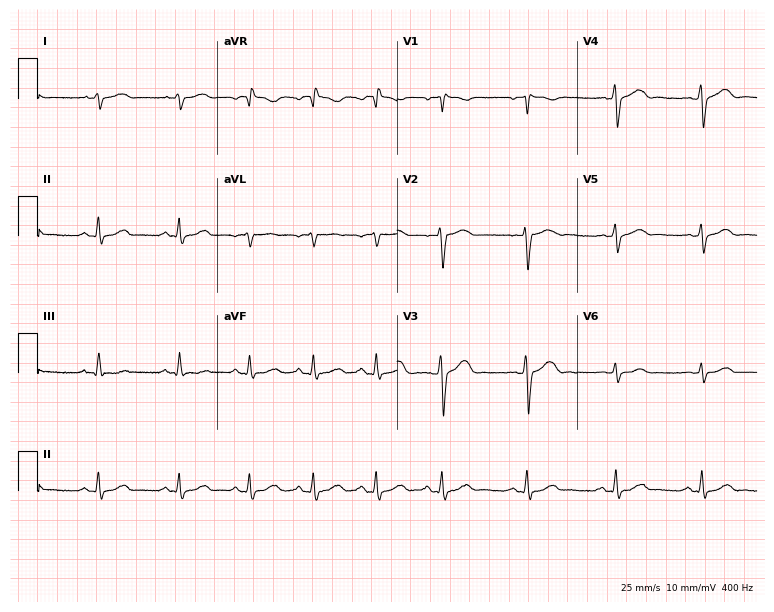
Standard 12-lead ECG recorded from a 24-year-old female (7.3-second recording at 400 Hz). None of these six findings is recorded: first-degree AV block, right bundle branch block, left bundle branch block, sinus bradycardia, atrial fibrillation, sinus tachycardia. Findings outside these six are not listed.